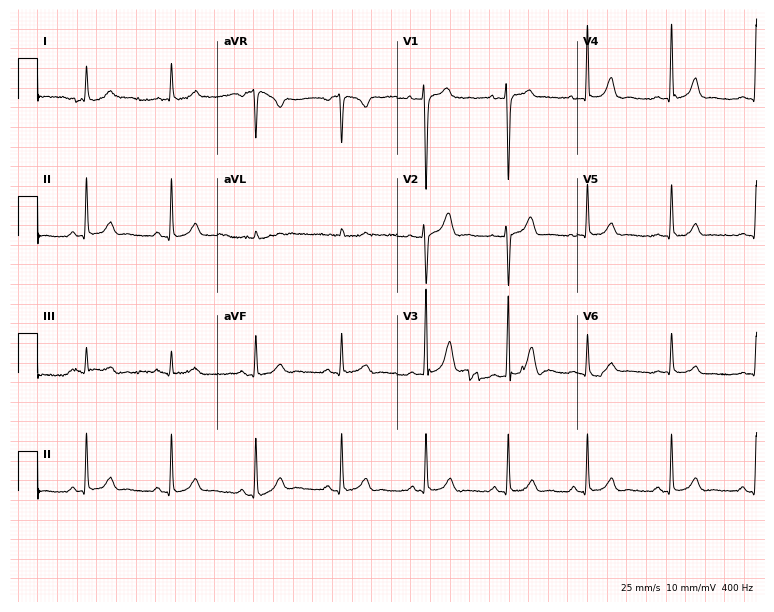
ECG — a man, 34 years old. Screened for six findings — first-degree AV block, right bundle branch block (RBBB), left bundle branch block (LBBB), sinus bradycardia, atrial fibrillation (AF), sinus tachycardia — none is recorded. Only these six findings were labelled.